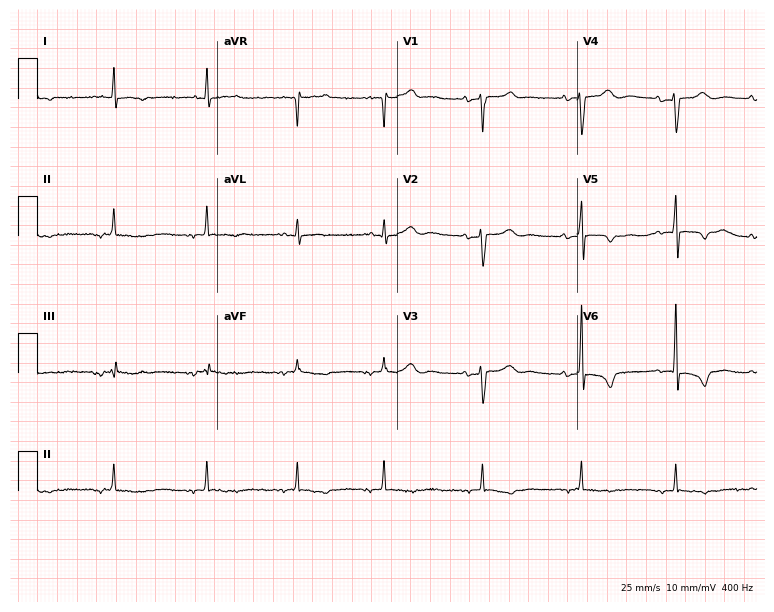
Electrocardiogram, a woman, 81 years old. Of the six screened findings (first-degree AV block, right bundle branch block, left bundle branch block, sinus bradycardia, atrial fibrillation, sinus tachycardia), none is recorded. Other findings, if any, are not listed.